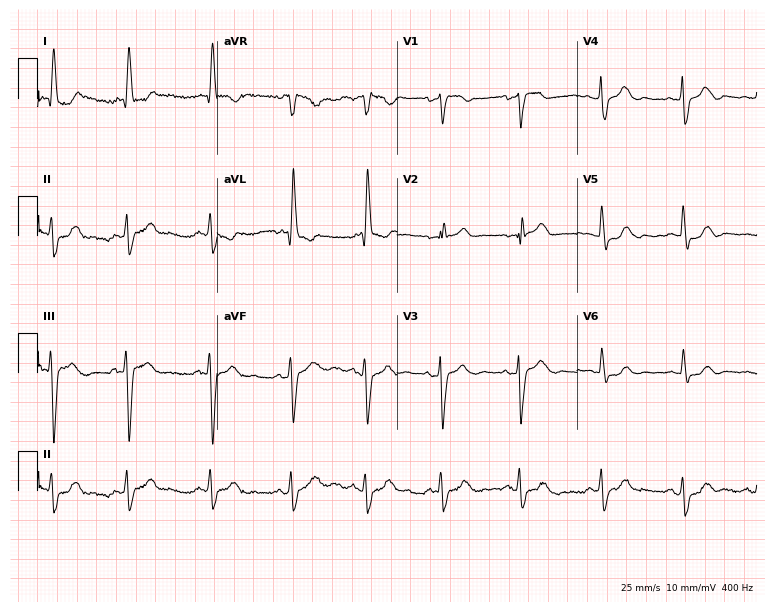
12-lead ECG from an 81-year-old woman. Screened for six findings — first-degree AV block, right bundle branch block, left bundle branch block, sinus bradycardia, atrial fibrillation, sinus tachycardia — none is recorded. Findings outside these six are not listed.